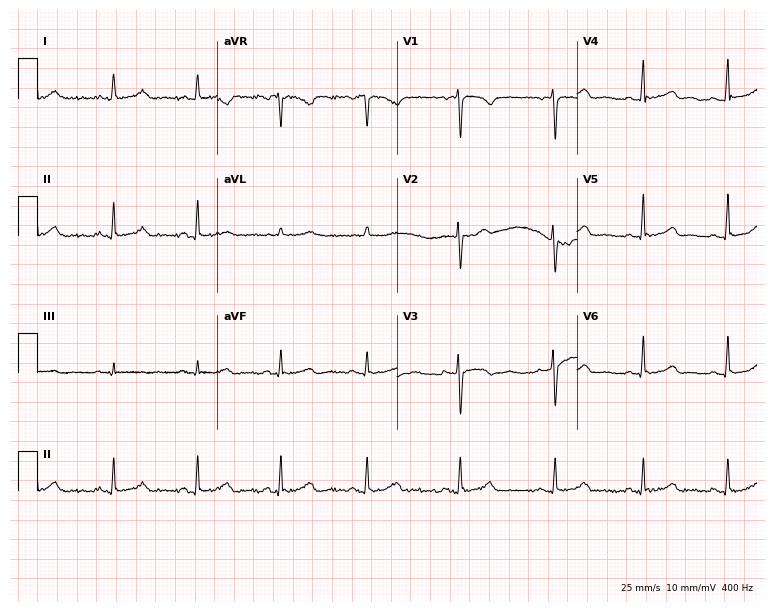
12-lead ECG from a female, 48 years old. Recorded interpretation: within normal limits.